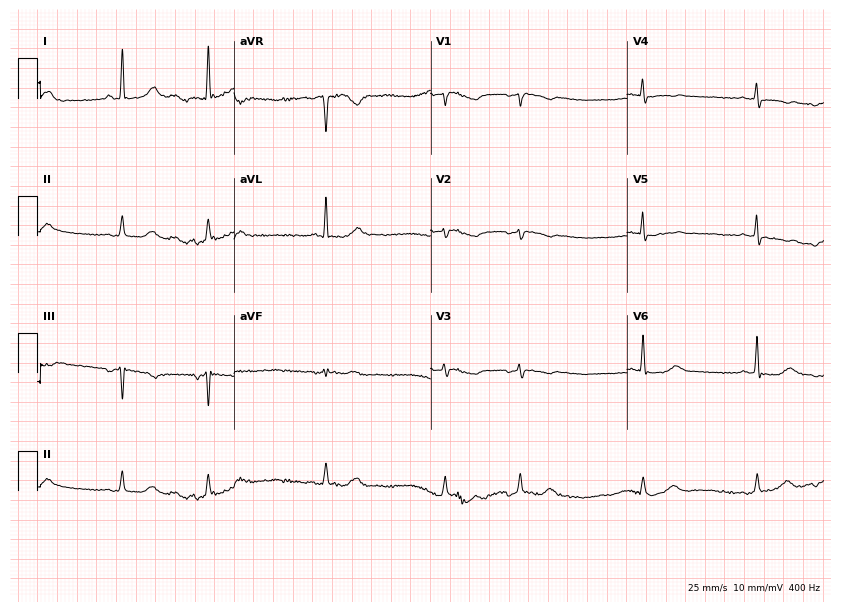
12-lead ECG from a 21-year-old man. No first-degree AV block, right bundle branch block, left bundle branch block, sinus bradycardia, atrial fibrillation or sinus tachycardia recorded for this tracing.